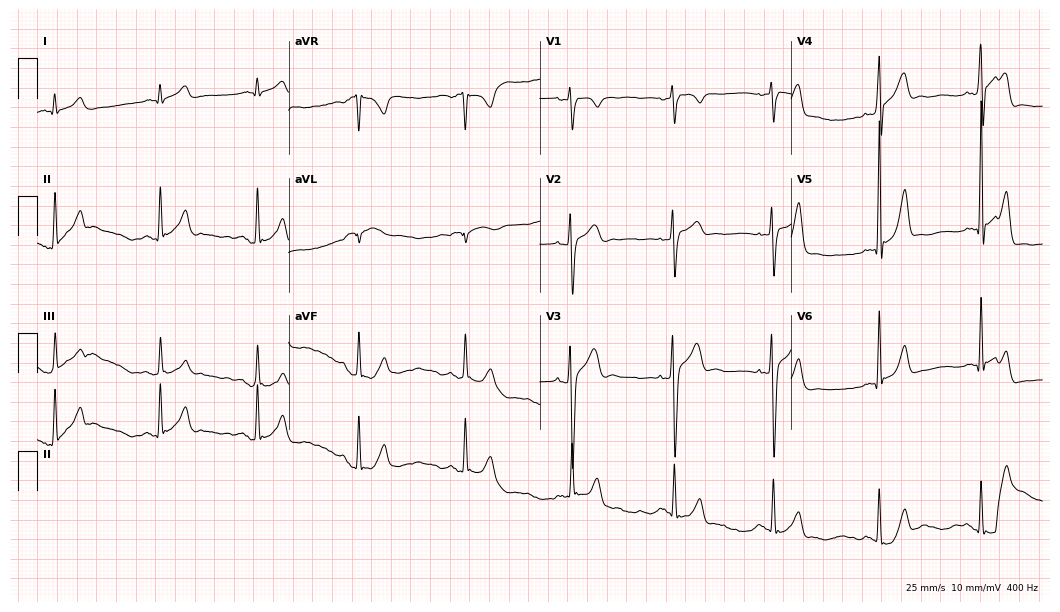
Standard 12-lead ECG recorded from a 19-year-old male patient (10.2-second recording at 400 Hz). Read as a normal ECG.